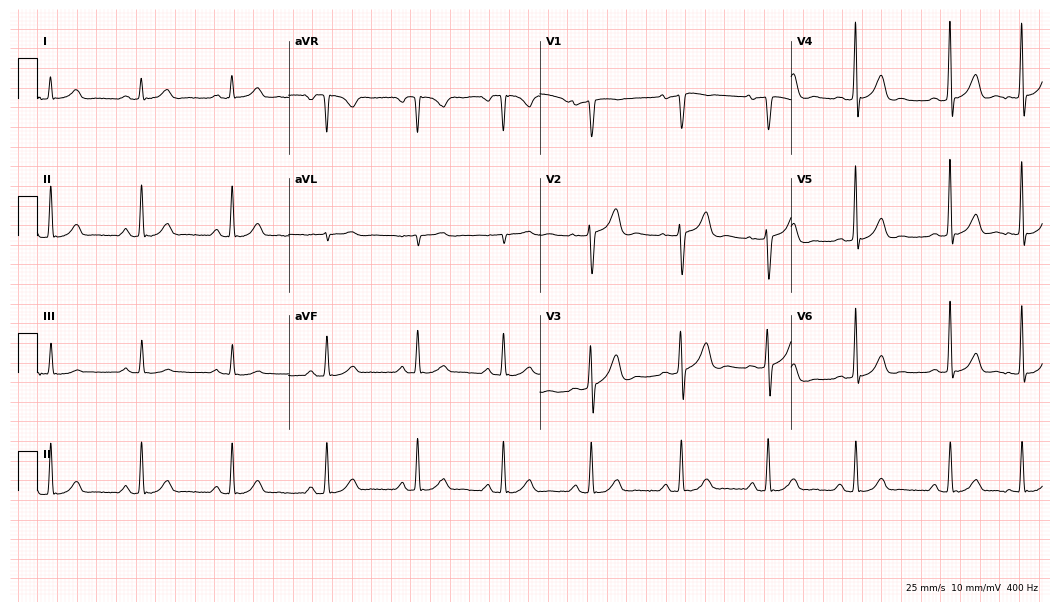
Standard 12-lead ECG recorded from a man, 57 years old. Read as a normal ECG.